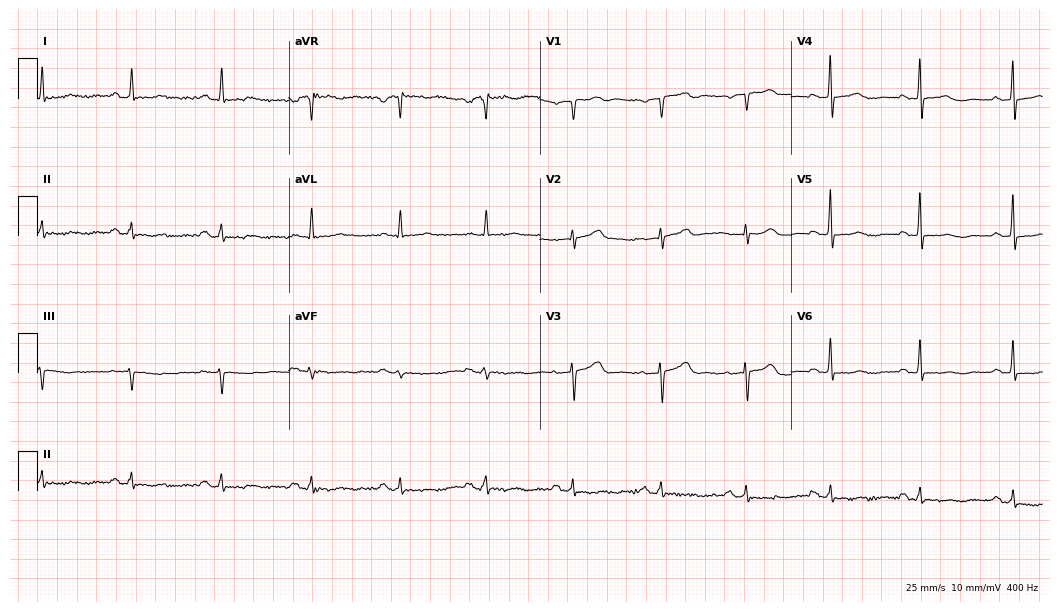
ECG (10.2-second recording at 400 Hz) — a female, 57 years old. Screened for six findings — first-degree AV block, right bundle branch block, left bundle branch block, sinus bradycardia, atrial fibrillation, sinus tachycardia — none is recorded.